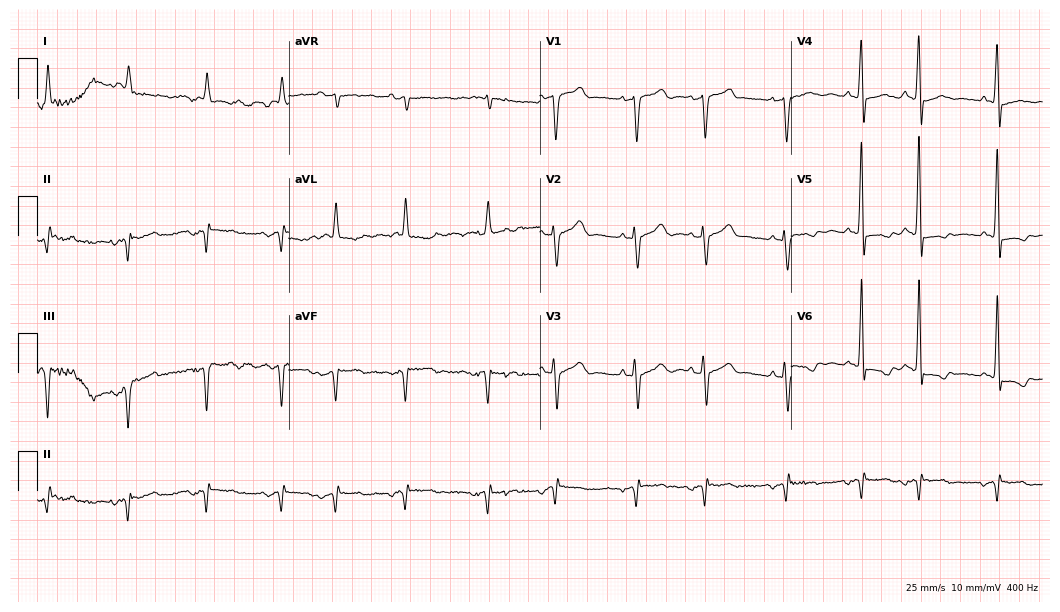
12-lead ECG from a male, 84 years old. Screened for six findings — first-degree AV block, right bundle branch block, left bundle branch block, sinus bradycardia, atrial fibrillation, sinus tachycardia — none is recorded. Other findings, if any, are not listed.